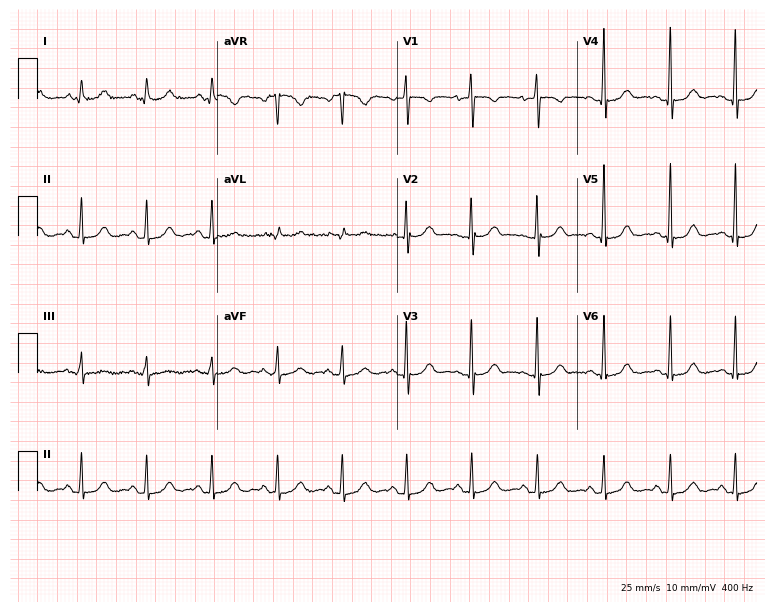
12-lead ECG (7.3-second recording at 400 Hz) from a female patient, 75 years old. Labelled as a normal ECG.